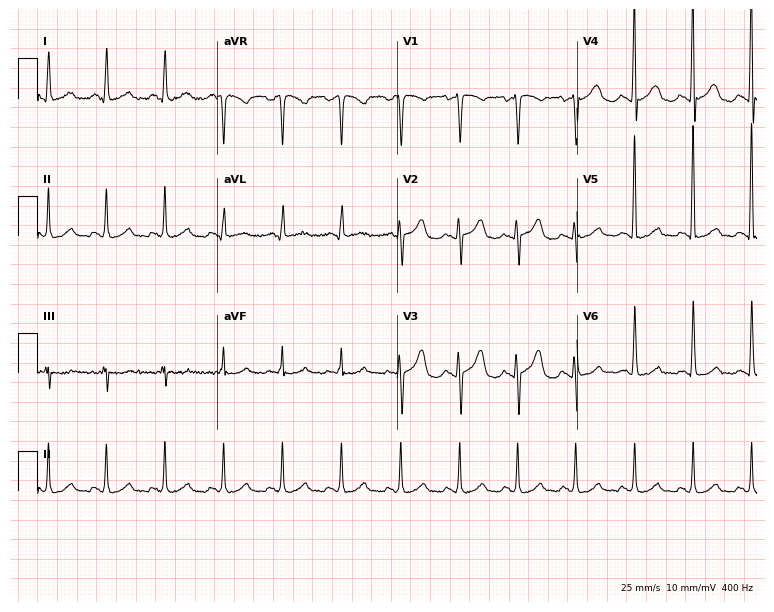
ECG — a 30-year-old woman. Labelled as a normal ECG.